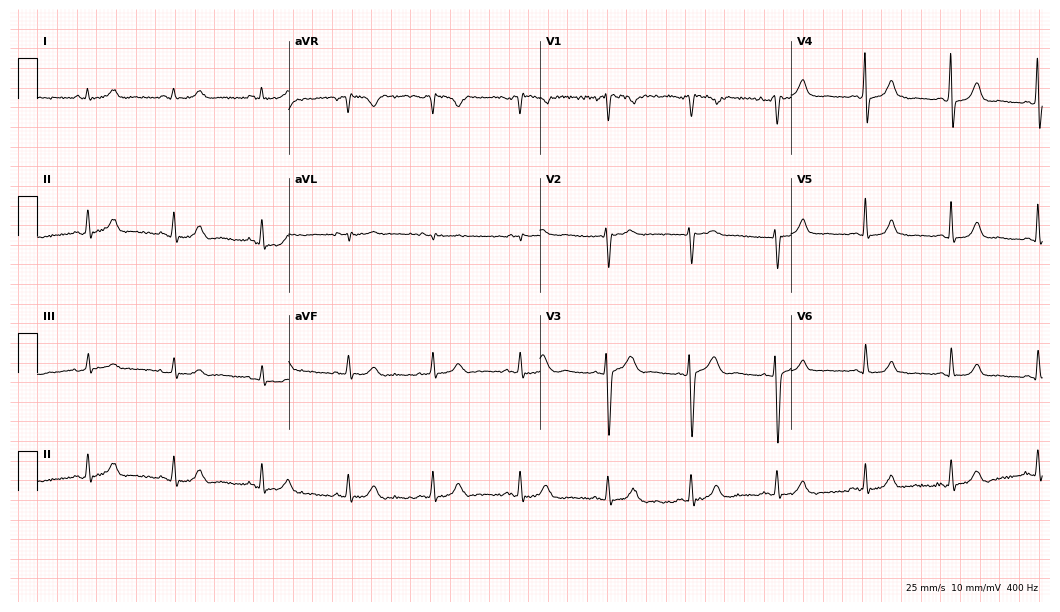
Resting 12-lead electrocardiogram (10.2-second recording at 400 Hz). Patient: a 40-year-old female. None of these six findings is recorded: first-degree AV block, right bundle branch block, left bundle branch block, sinus bradycardia, atrial fibrillation, sinus tachycardia. Only these six findings were labelled.